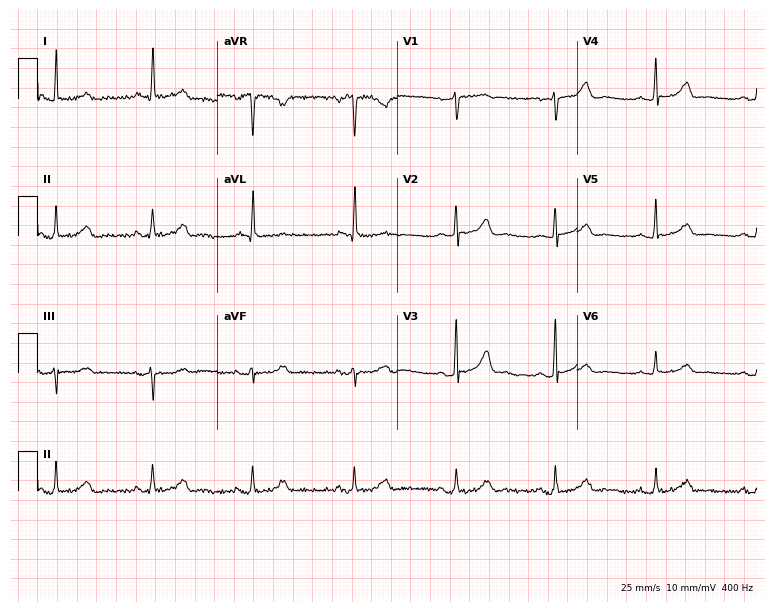
Electrocardiogram (7.3-second recording at 400 Hz), a female patient, 52 years old. Of the six screened findings (first-degree AV block, right bundle branch block, left bundle branch block, sinus bradycardia, atrial fibrillation, sinus tachycardia), none is recorded.